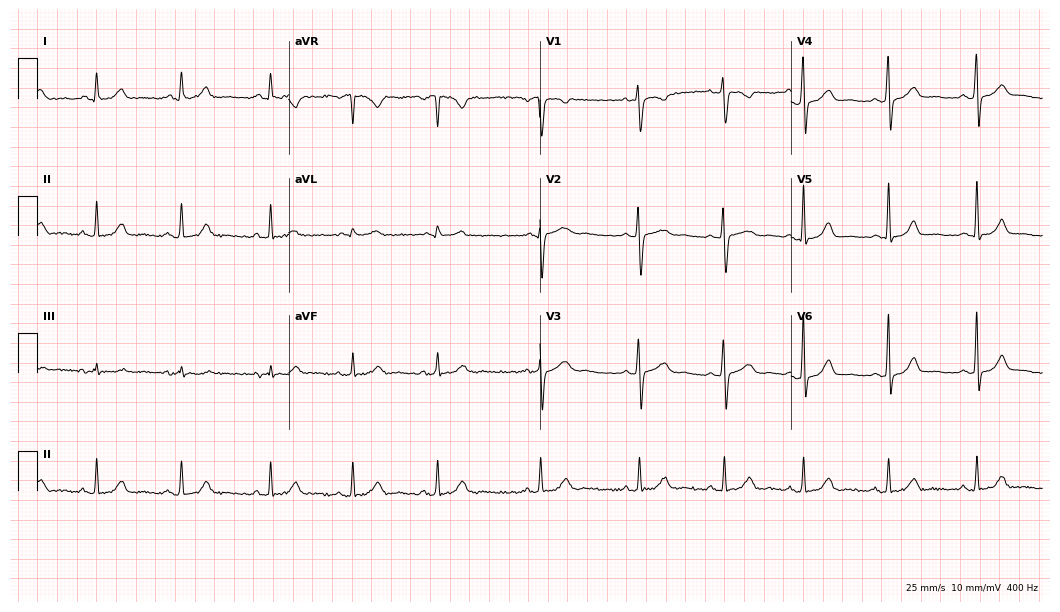
Standard 12-lead ECG recorded from a 33-year-old female (10.2-second recording at 400 Hz). Read as a normal ECG.